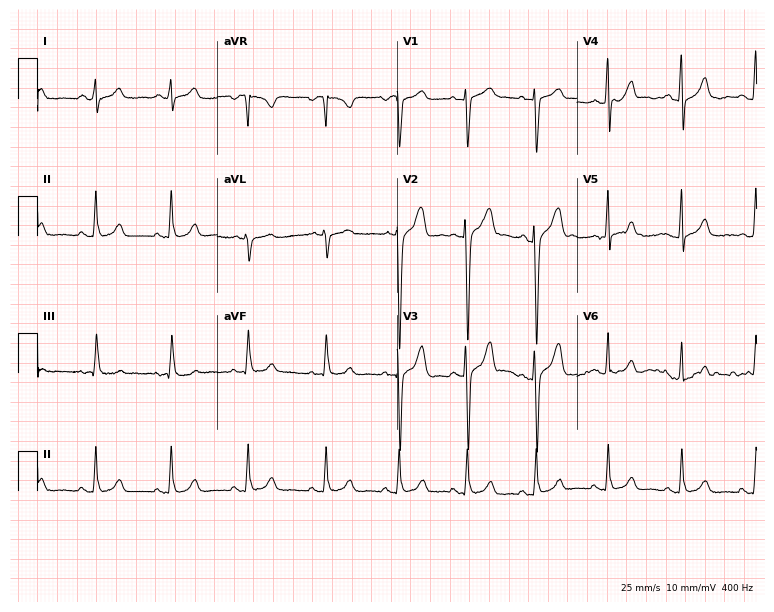
12-lead ECG from a woman, 19 years old. Labelled as a normal ECG.